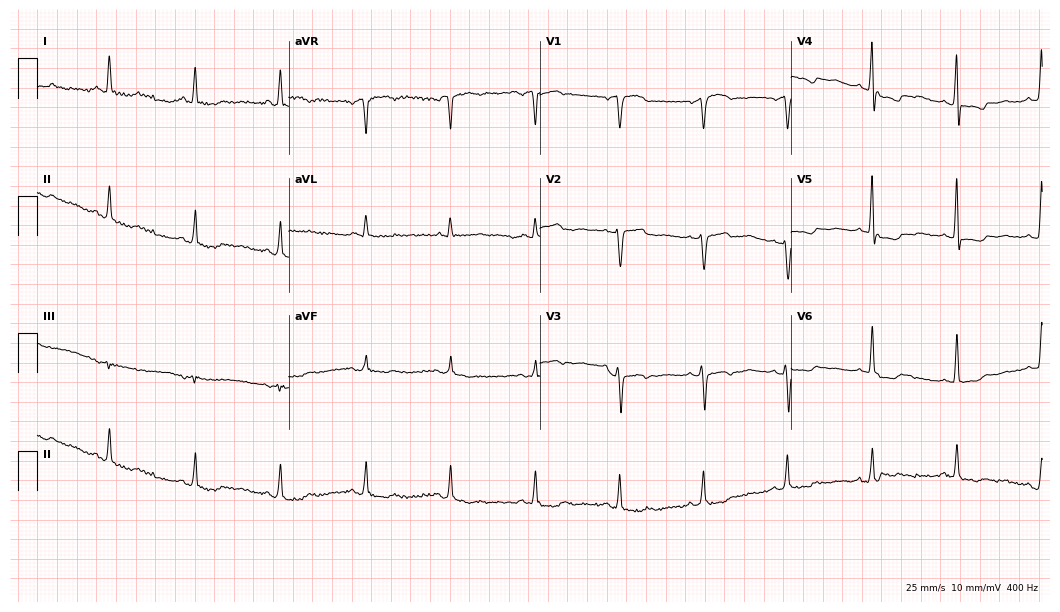
12-lead ECG (10.2-second recording at 400 Hz) from a 64-year-old female patient. Screened for six findings — first-degree AV block, right bundle branch block, left bundle branch block, sinus bradycardia, atrial fibrillation, sinus tachycardia — none is recorded.